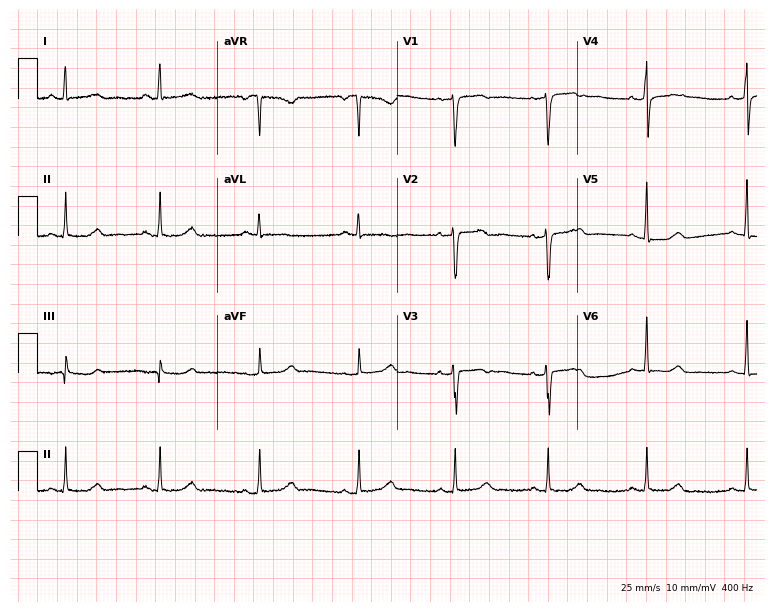
12-lead ECG (7.3-second recording at 400 Hz) from a 49-year-old female. Labelled as a normal ECG.